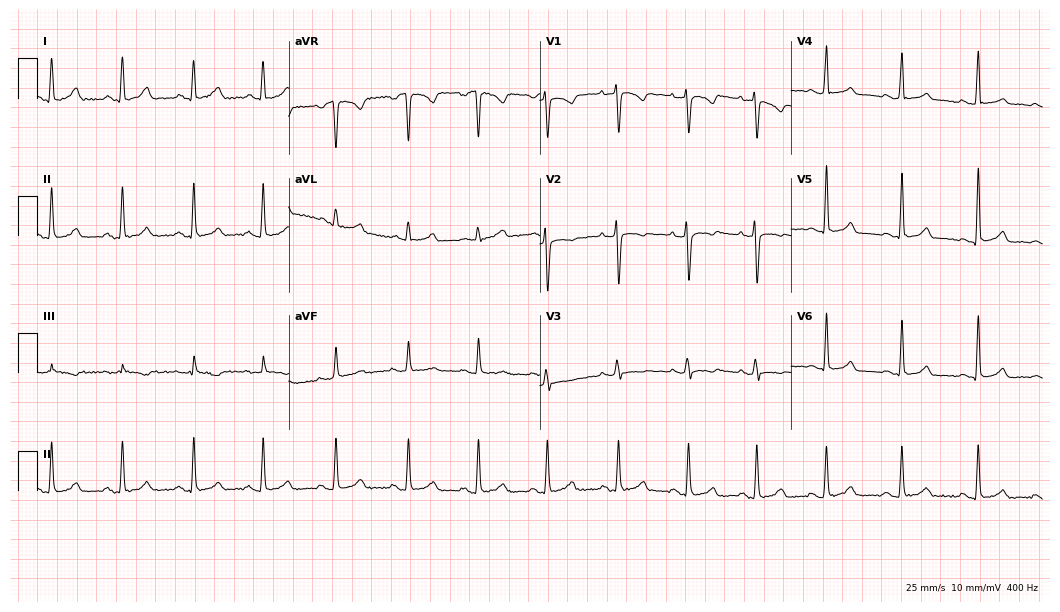
12-lead ECG from a 36-year-old female patient. No first-degree AV block, right bundle branch block, left bundle branch block, sinus bradycardia, atrial fibrillation or sinus tachycardia recorded for this tracing.